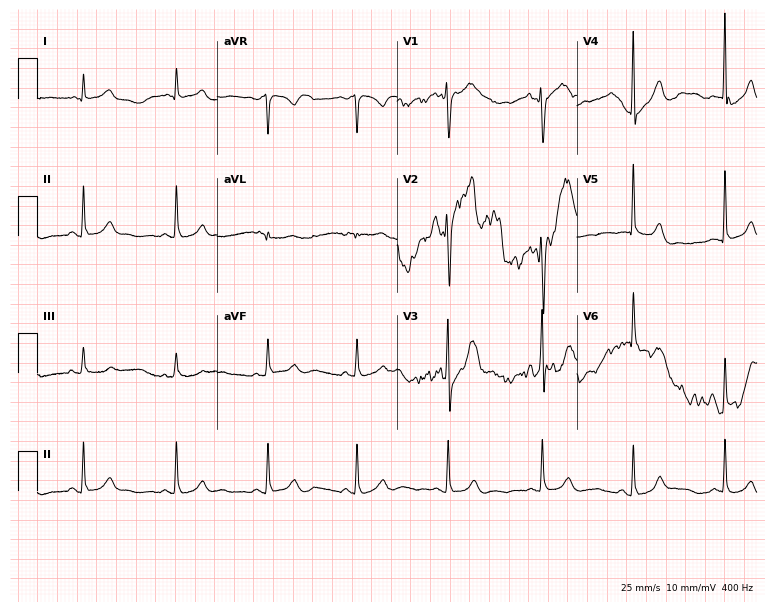
Standard 12-lead ECG recorded from a 47-year-old male (7.3-second recording at 400 Hz). None of these six findings is recorded: first-degree AV block, right bundle branch block, left bundle branch block, sinus bradycardia, atrial fibrillation, sinus tachycardia. Other findings, if any, are not listed.